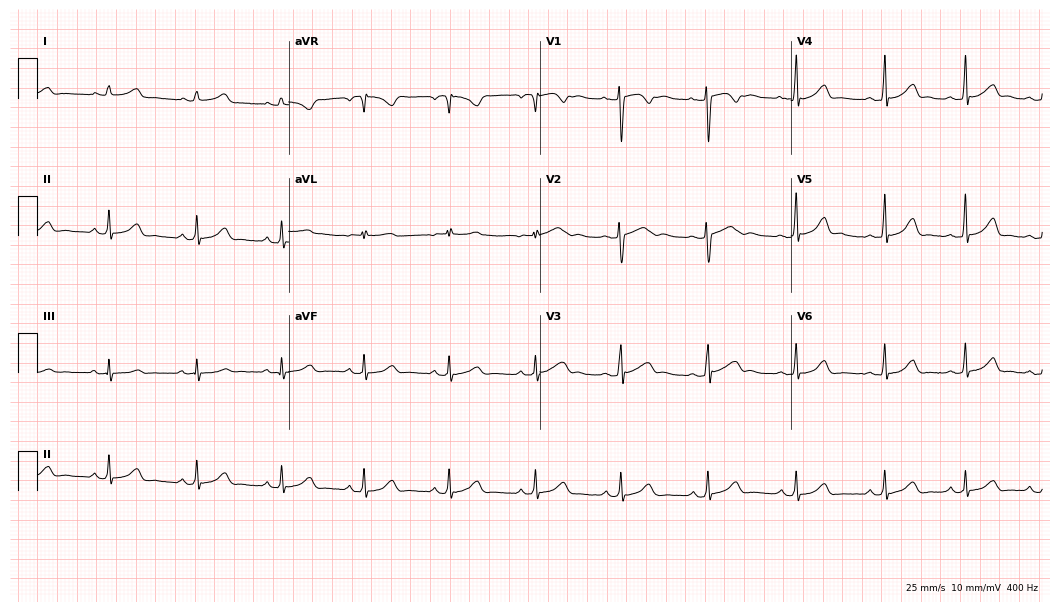
Resting 12-lead electrocardiogram. Patient: a woman, 18 years old. Read as a normal ECG.